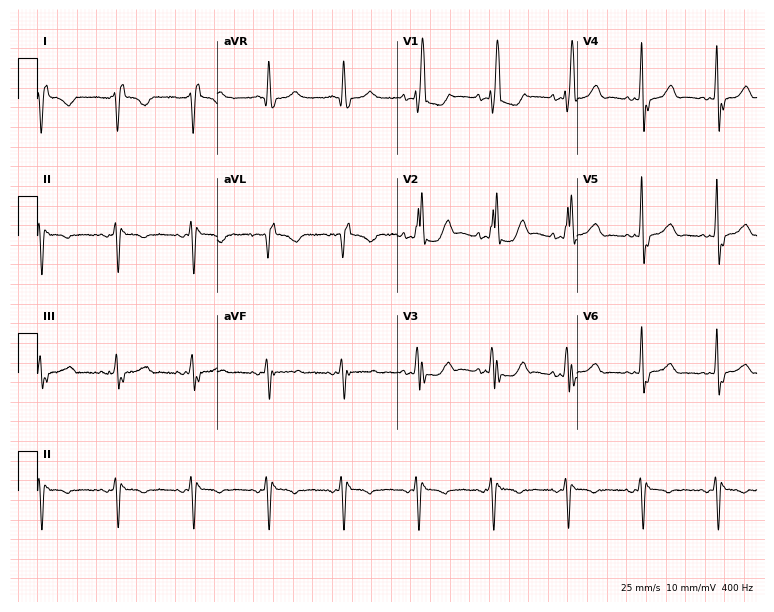
12-lead ECG from a female patient, 71 years old. Screened for six findings — first-degree AV block, right bundle branch block (RBBB), left bundle branch block (LBBB), sinus bradycardia, atrial fibrillation (AF), sinus tachycardia — none is recorded.